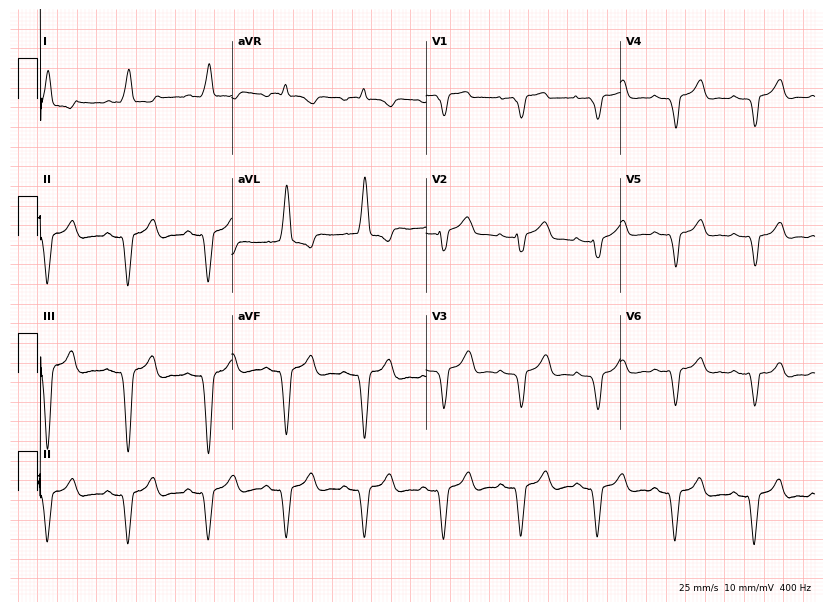
ECG — a 45-year-old female patient. Screened for six findings — first-degree AV block, right bundle branch block, left bundle branch block, sinus bradycardia, atrial fibrillation, sinus tachycardia — none is recorded. Findings outside these six are not listed.